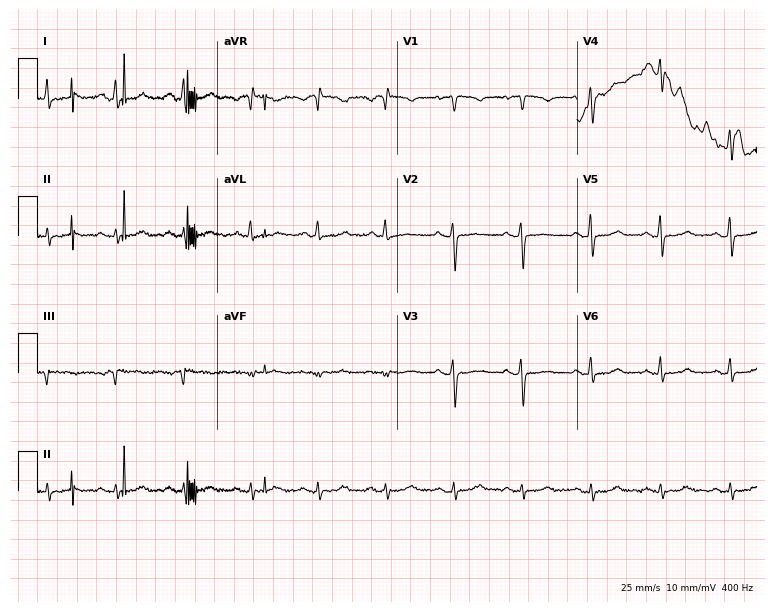
Electrocardiogram (7.3-second recording at 400 Hz), a woman, 43 years old. Of the six screened findings (first-degree AV block, right bundle branch block, left bundle branch block, sinus bradycardia, atrial fibrillation, sinus tachycardia), none is recorded.